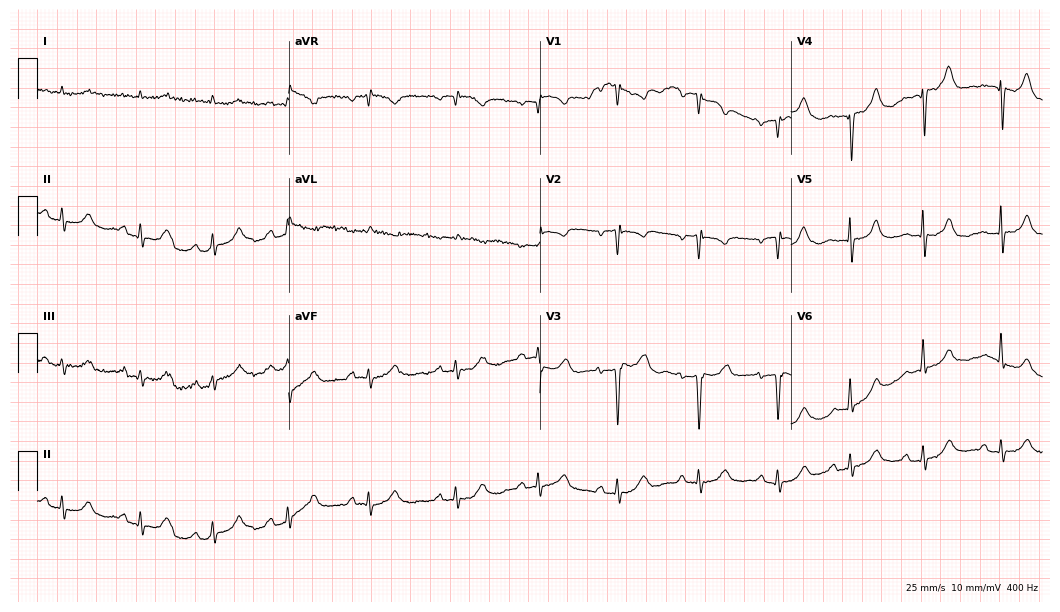
12-lead ECG from an 84-year-old male patient. Screened for six findings — first-degree AV block, right bundle branch block, left bundle branch block, sinus bradycardia, atrial fibrillation, sinus tachycardia — none is recorded. Findings outside these six are not listed.